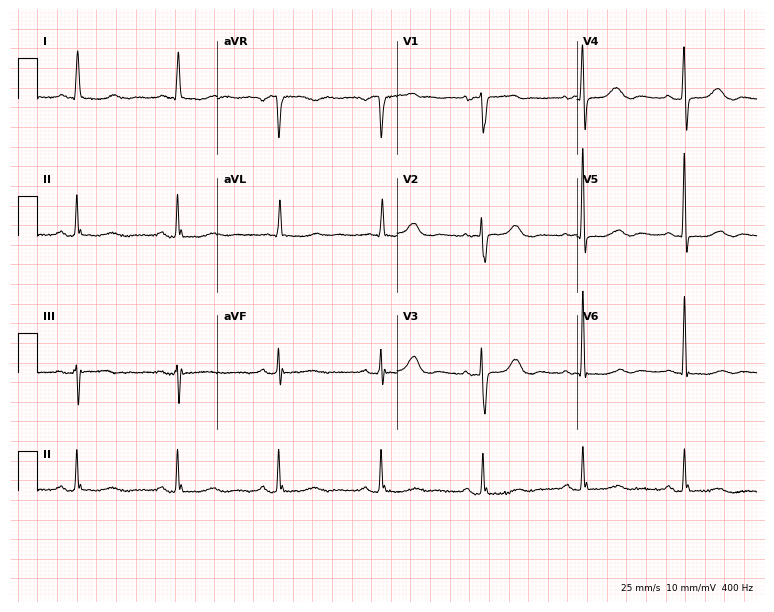
Resting 12-lead electrocardiogram. Patient: a woman, 82 years old. Read as a normal ECG.